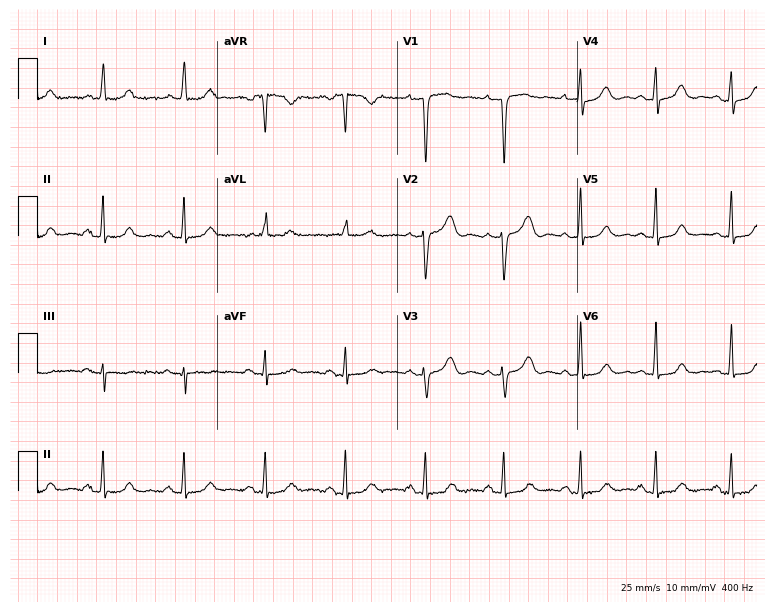
12-lead ECG from a female patient, 59 years old (7.3-second recording at 400 Hz). Recorded interpretation: within normal limits.